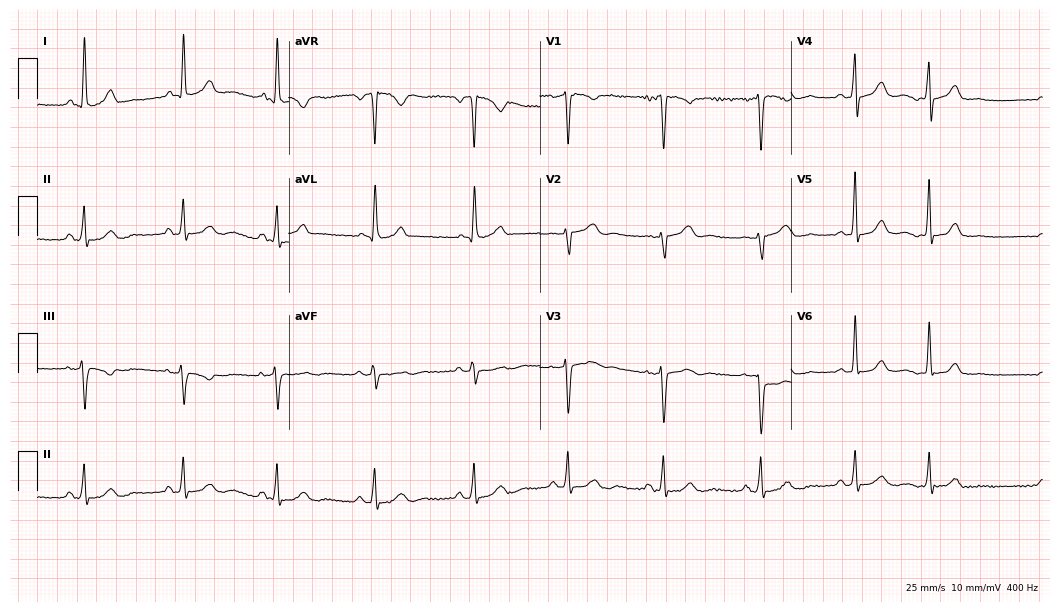
Electrocardiogram, a 57-year-old woman. Overall reading on record: normal ECG.